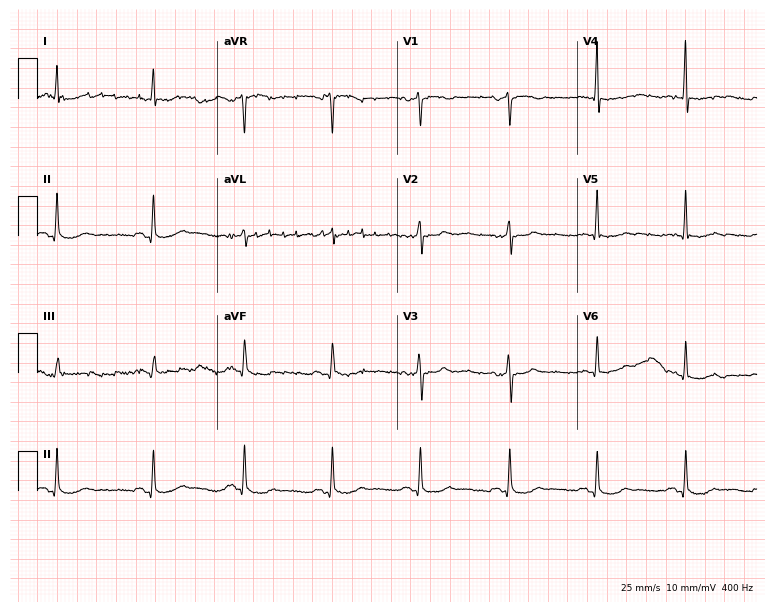
12-lead ECG from a female patient, 60 years old. Screened for six findings — first-degree AV block, right bundle branch block, left bundle branch block, sinus bradycardia, atrial fibrillation, sinus tachycardia — none is recorded. Only these six findings were labelled.